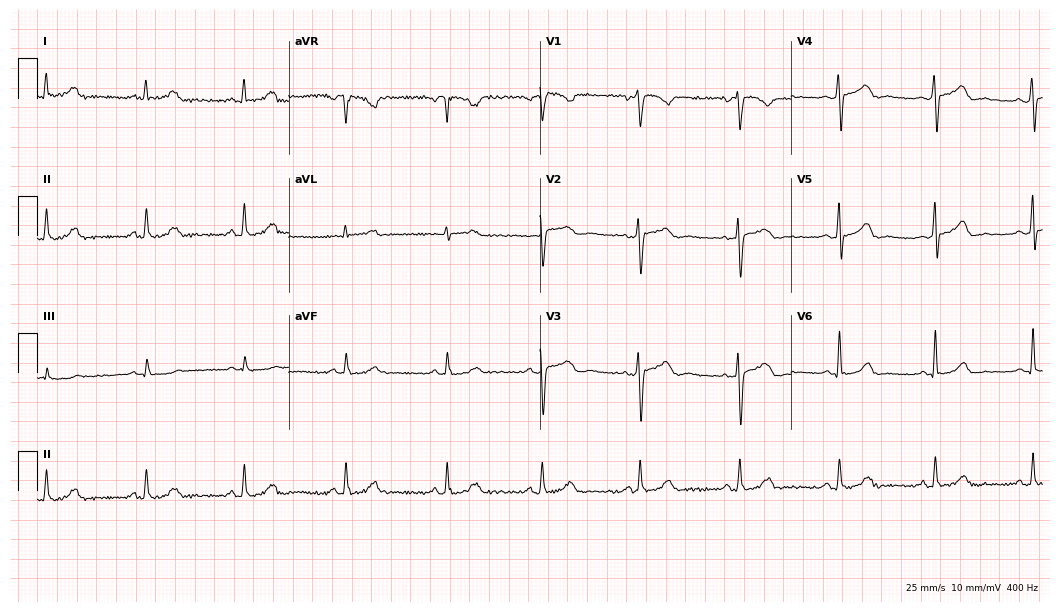
Electrocardiogram (10.2-second recording at 400 Hz), a woman, 31 years old. Overall reading on record: normal ECG.